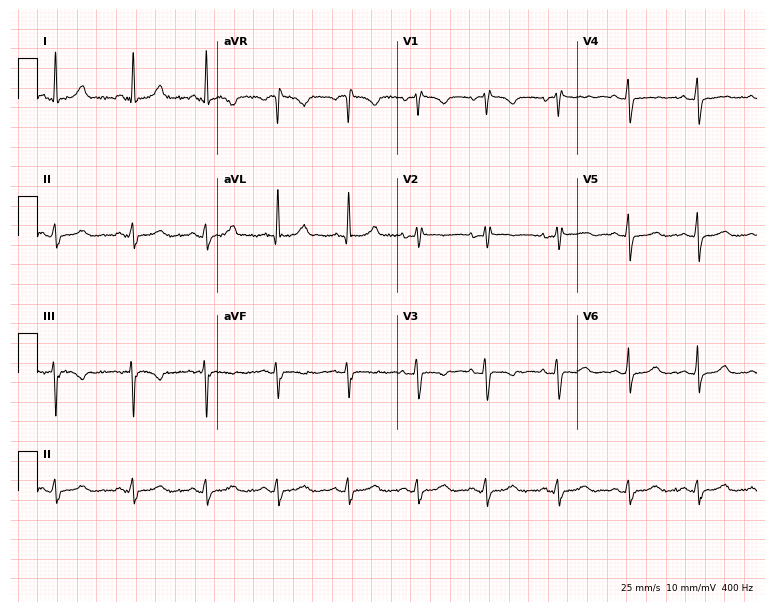
Standard 12-lead ECG recorded from a female patient, 49 years old (7.3-second recording at 400 Hz). Read as a normal ECG.